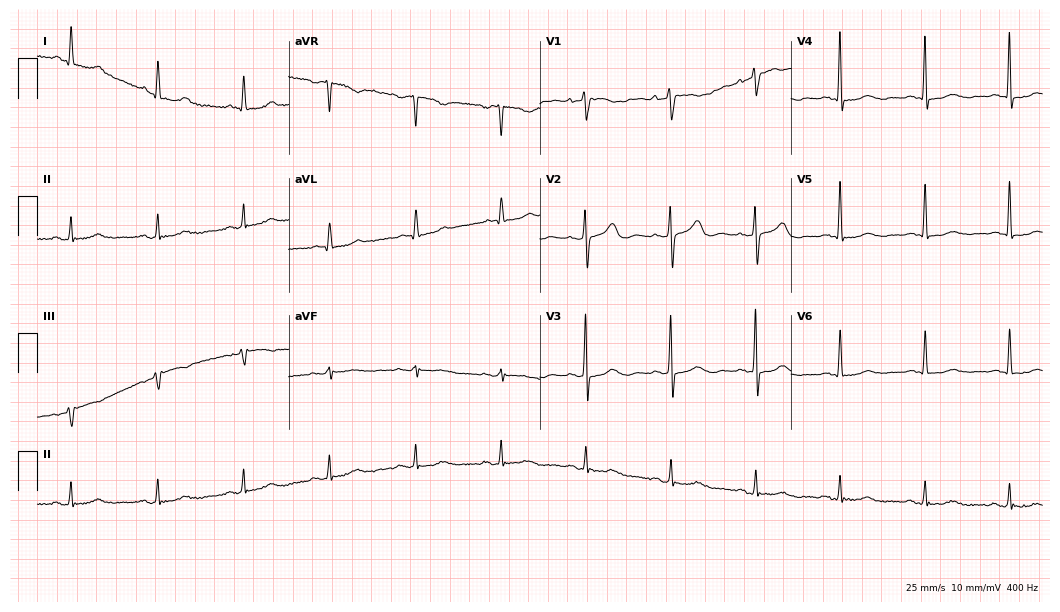
Electrocardiogram, a female patient, 81 years old. Of the six screened findings (first-degree AV block, right bundle branch block (RBBB), left bundle branch block (LBBB), sinus bradycardia, atrial fibrillation (AF), sinus tachycardia), none is recorded.